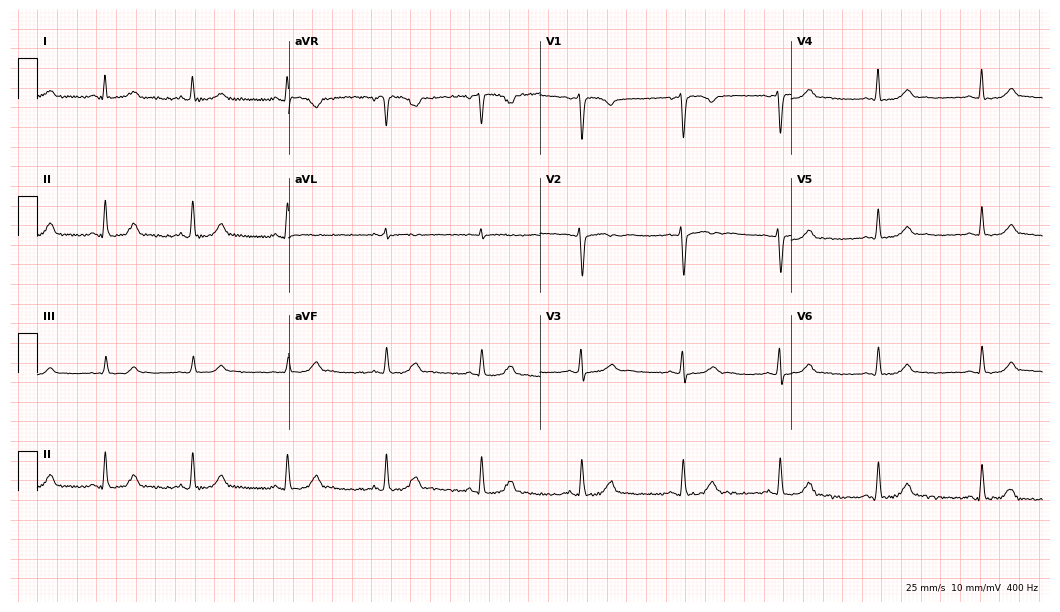
12-lead ECG from a female patient, 44 years old. Labelled as a normal ECG.